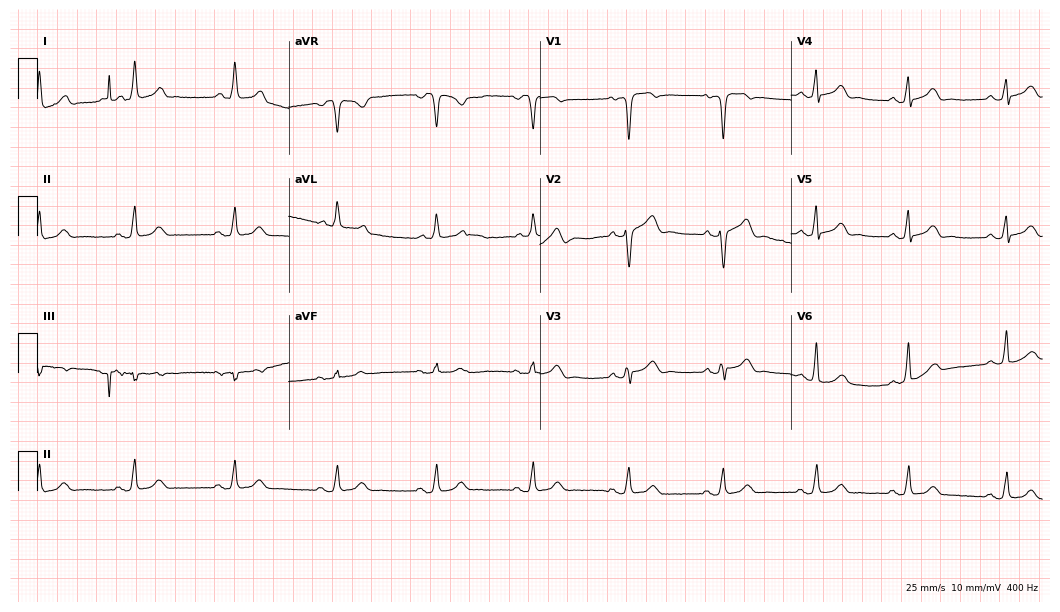
Electrocardiogram (10.2-second recording at 400 Hz), a female, 73 years old. Overall reading on record: normal ECG.